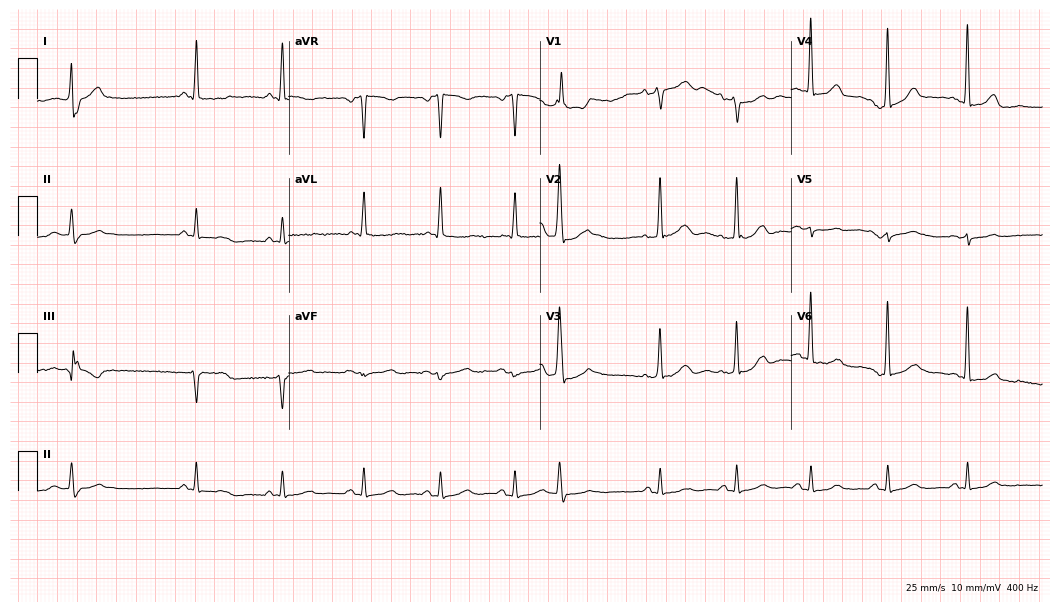
Standard 12-lead ECG recorded from a male, 69 years old (10.2-second recording at 400 Hz). None of these six findings is recorded: first-degree AV block, right bundle branch block (RBBB), left bundle branch block (LBBB), sinus bradycardia, atrial fibrillation (AF), sinus tachycardia. Findings outside these six are not listed.